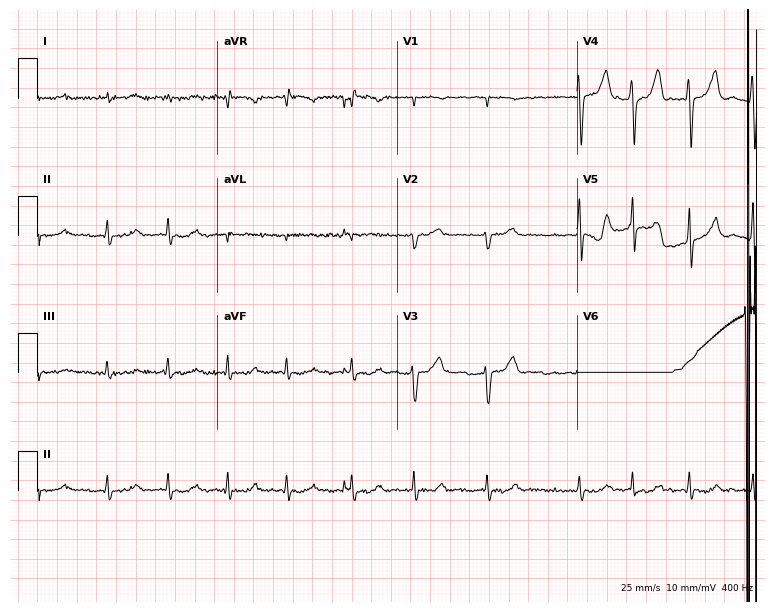
Electrocardiogram (7.3-second recording at 400 Hz), a man, 78 years old. Of the six screened findings (first-degree AV block, right bundle branch block, left bundle branch block, sinus bradycardia, atrial fibrillation, sinus tachycardia), none is recorded. Findings outside these six are not listed.